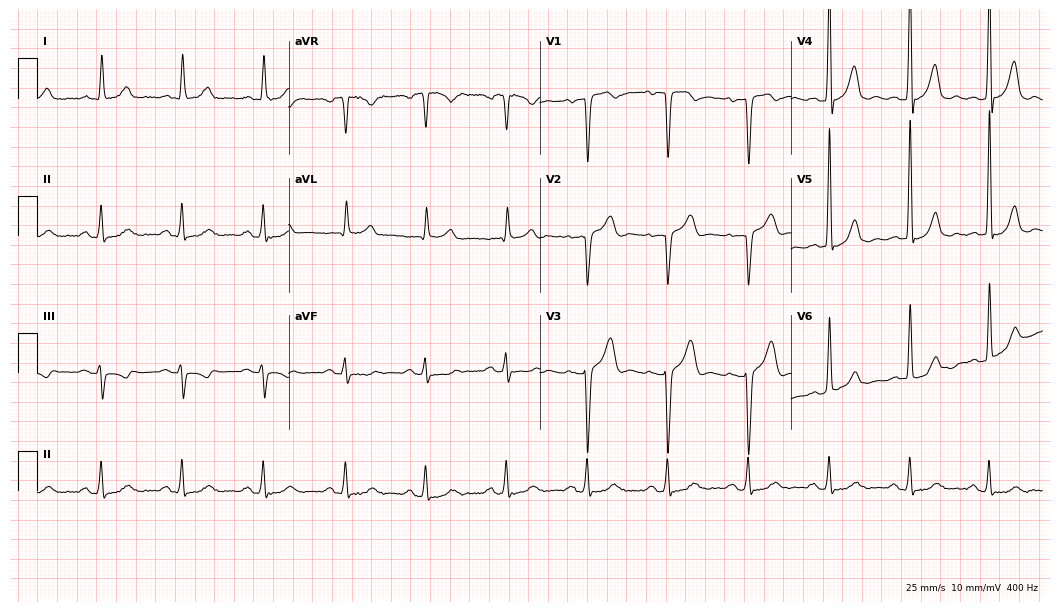
Standard 12-lead ECG recorded from a 59-year-old female. None of these six findings is recorded: first-degree AV block, right bundle branch block (RBBB), left bundle branch block (LBBB), sinus bradycardia, atrial fibrillation (AF), sinus tachycardia. Findings outside these six are not listed.